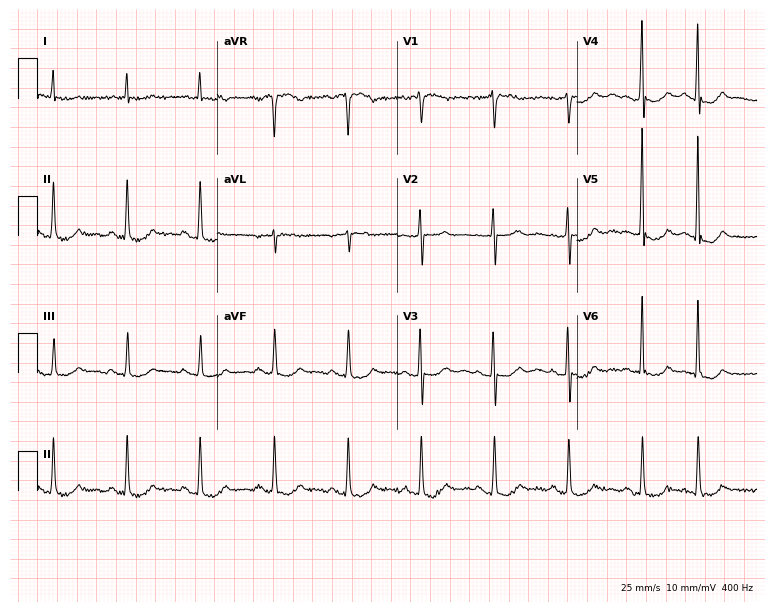
Resting 12-lead electrocardiogram. Patient: a 75-year-old man. None of these six findings is recorded: first-degree AV block, right bundle branch block, left bundle branch block, sinus bradycardia, atrial fibrillation, sinus tachycardia.